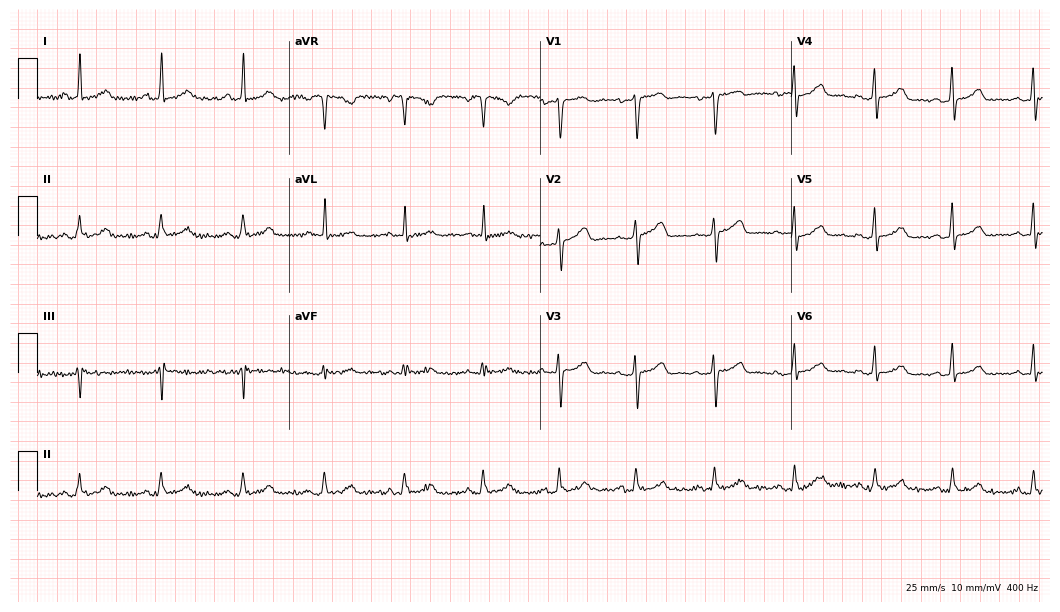
Electrocardiogram, a 58-year-old female. Overall reading on record: normal ECG.